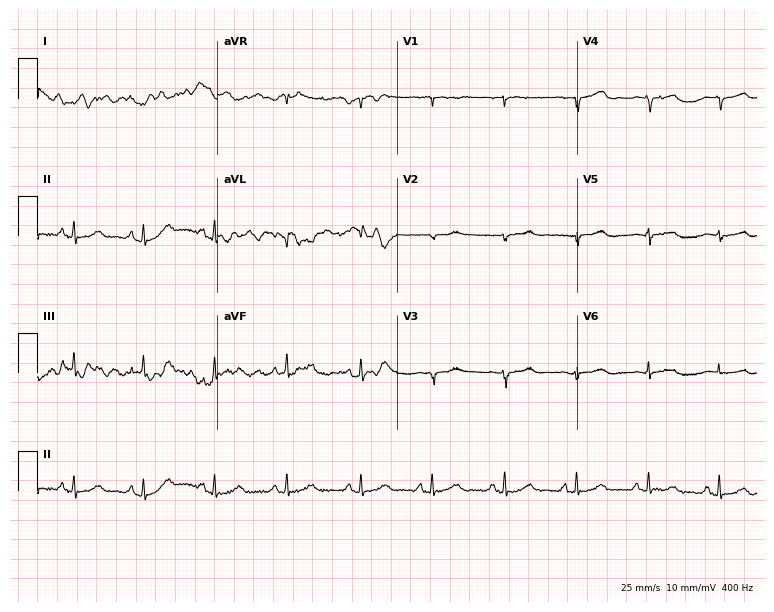
Electrocardiogram (7.3-second recording at 400 Hz), a 71-year-old woman. Of the six screened findings (first-degree AV block, right bundle branch block (RBBB), left bundle branch block (LBBB), sinus bradycardia, atrial fibrillation (AF), sinus tachycardia), none is recorded. Other findings, if any, are not listed.